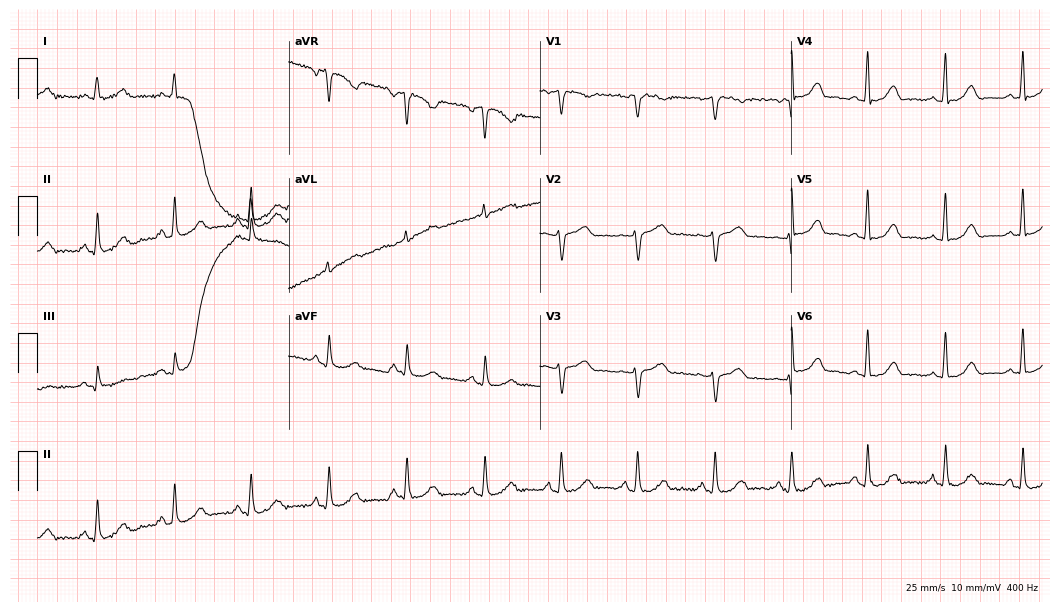
Electrocardiogram, a female patient, 54 years old. Of the six screened findings (first-degree AV block, right bundle branch block (RBBB), left bundle branch block (LBBB), sinus bradycardia, atrial fibrillation (AF), sinus tachycardia), none is recorded.